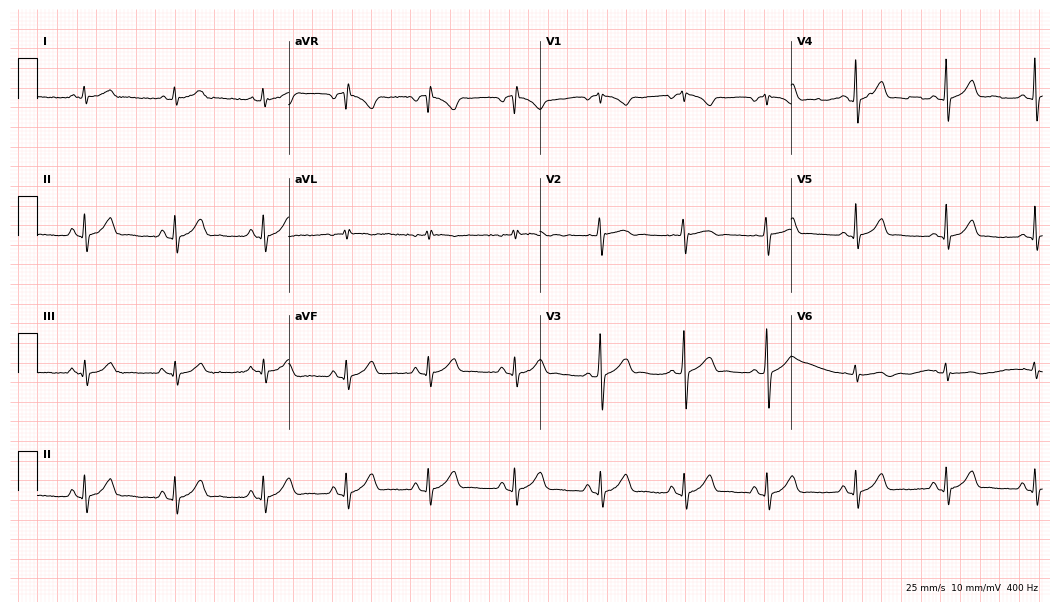
12-lead ECG from a female patient, 17 years old. No first-degree AV block, right bundle branch block, left bundle branch block, sinus bradycardia, atrial fibrillation or sinus tachycardia recorded for this tracing. Findings outside these six are not listed.